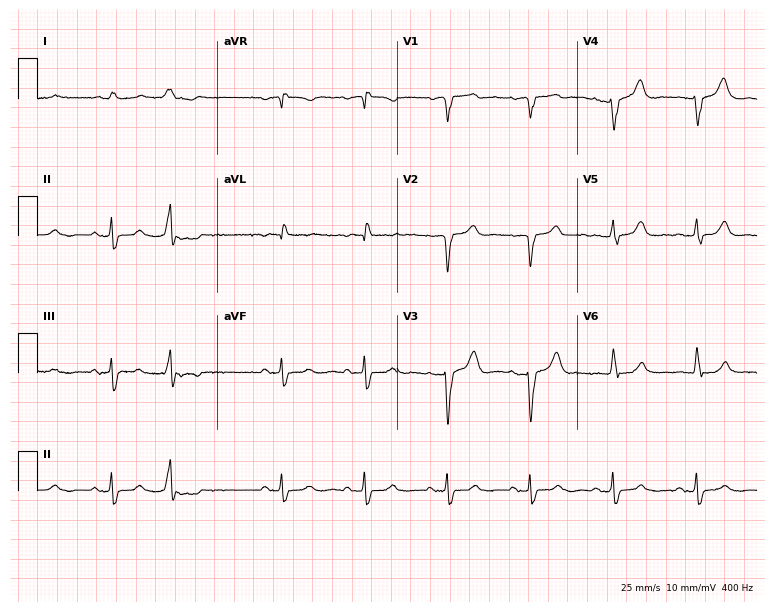
Standard 12-lead ECG recorded from a 35-year-old man. None of these six findings is recorded: first-degree AV block, right bundle branch block, left bundle branch block, sinus bradycardia, atrial fibrillation, sinus tachycardia.